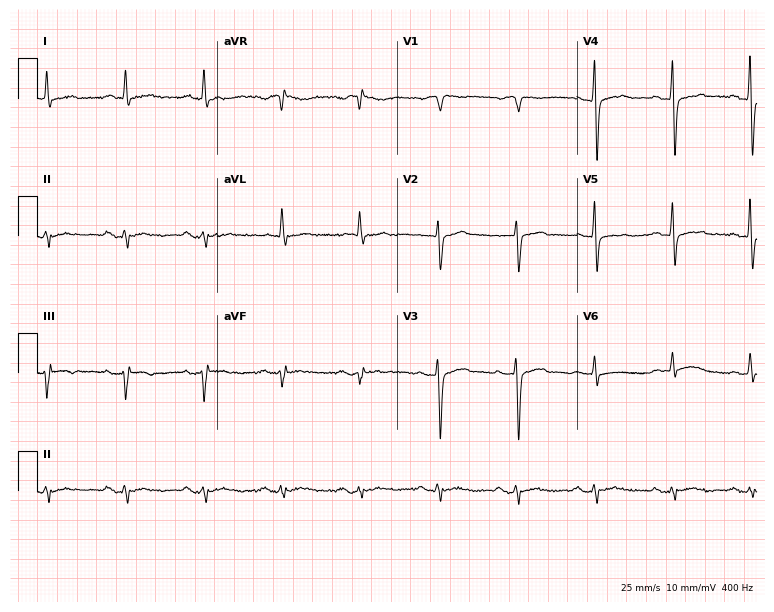
12-lead ECG from a 71-year-old male patient. No first-degree AV block, right bundle branch block, left bundle branch block, sinus bradycardia, atrial fibrillation or sinus tachycardia recorded for this tracing.